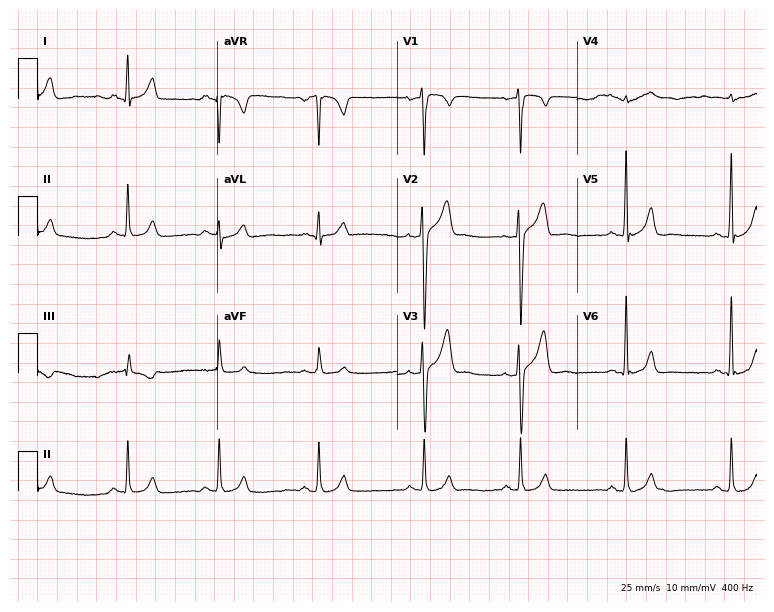
12-lead ECG from a 35-year-old man. Labelled as a normal ECG.